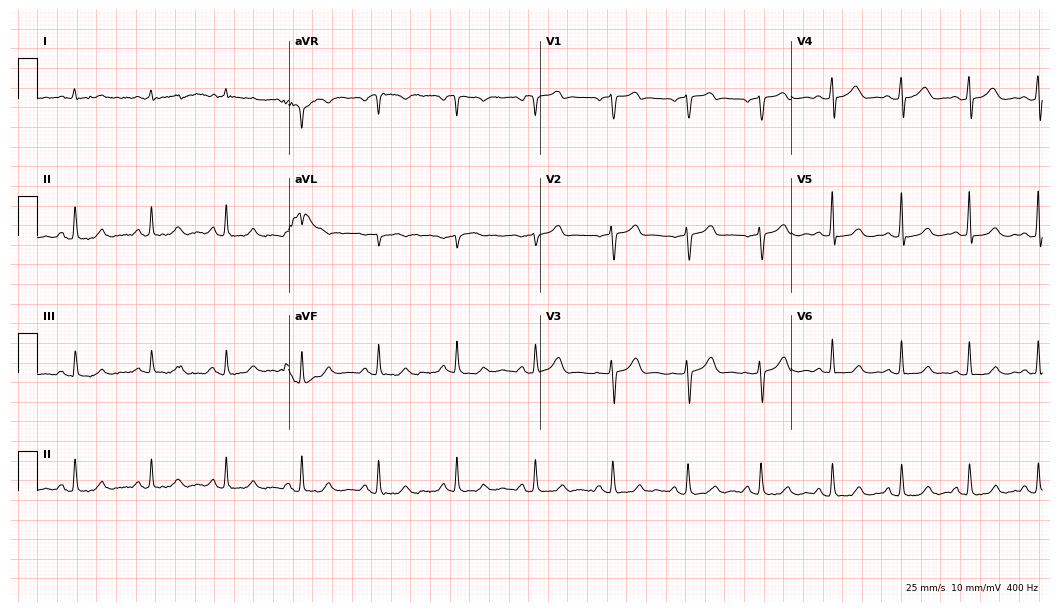
12-lead ECG (10.2-second recording at 400 Hz) from a 53-year-old male. Labelled as a normal ECG.